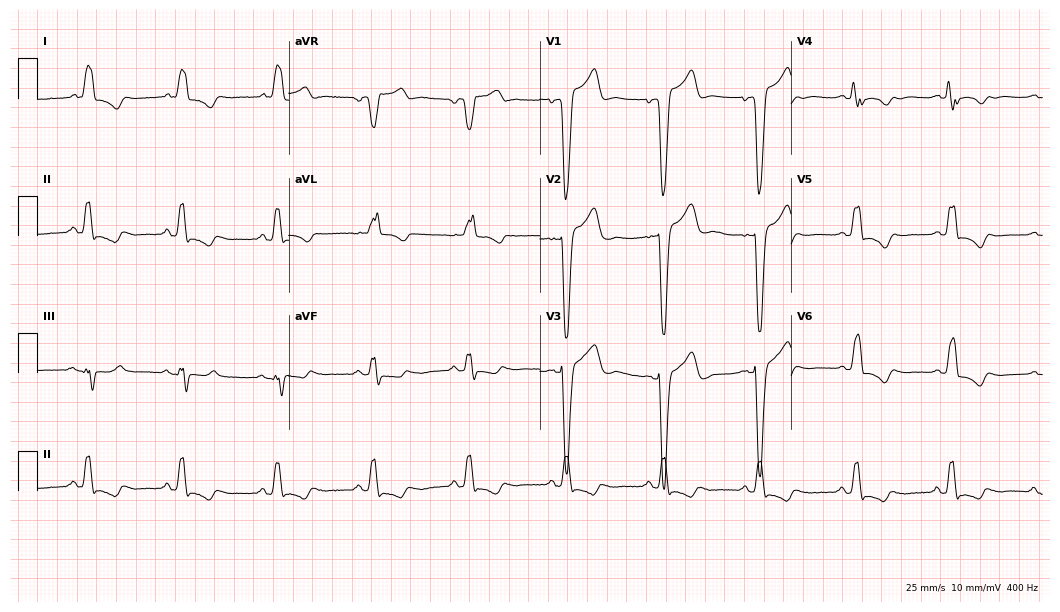
Standard 12-lead ECG recorded from a 53-year-old female patient. The tracing shows left bundle branch block.